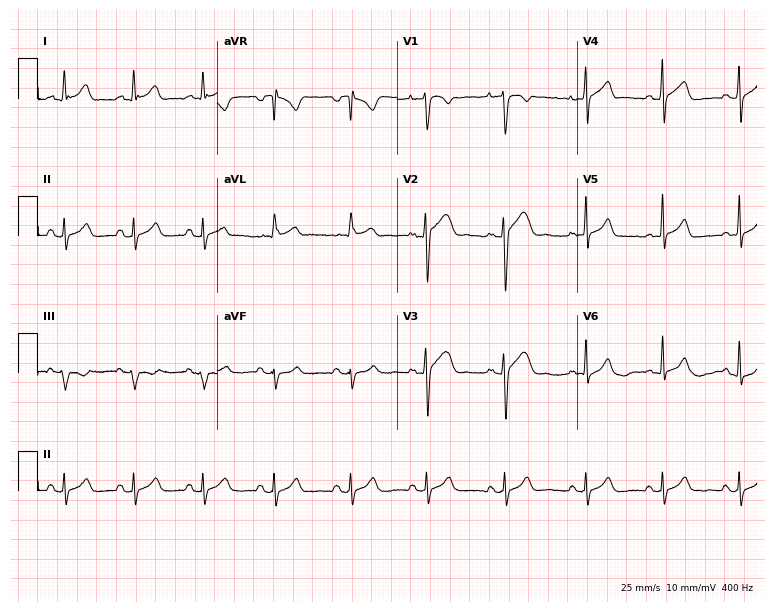
Electrocardiogram, a 30-year-old male patient. Overall reading on record: normal ECG.